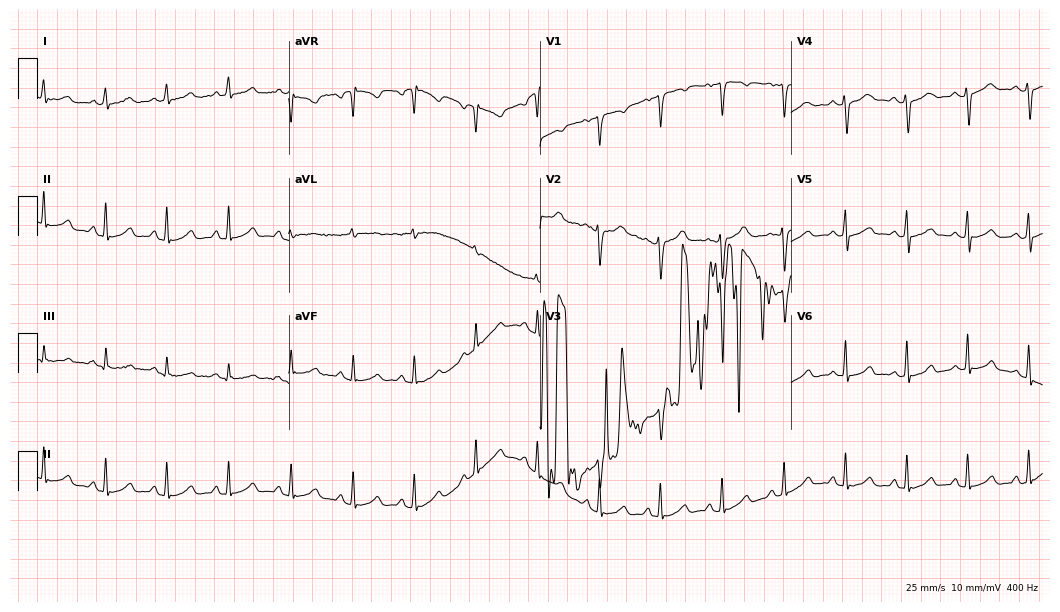
Standard 12-lead ECG recorded from a 29-year-old female (10.2-second recording at 400 Hz). None of these six findings is recorded: first-degree AV block, right bundle branch block, left bundle branch block, sinus bradycardia, atrial fibrillation, sinus tachycardia. Findings outside these six are not listed.